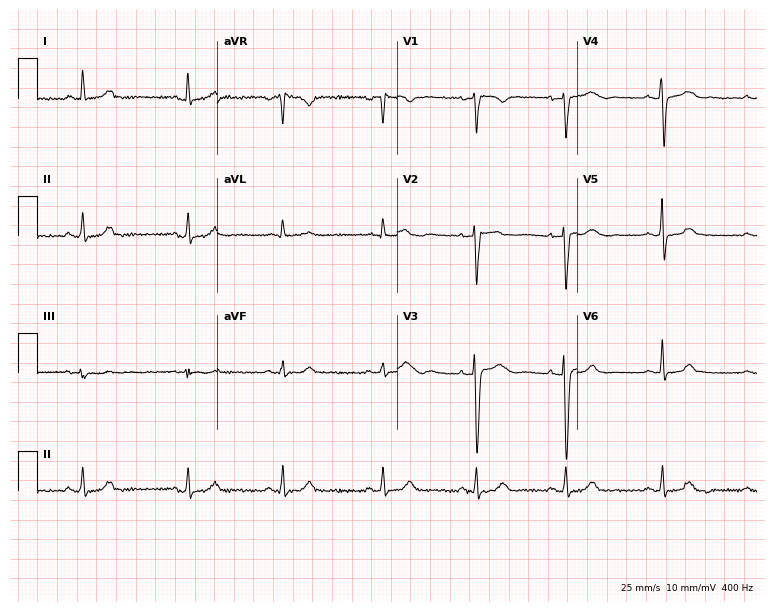
12-lead ECG from a 42-year-old female. Screened for six findings — first-degree AV block, right bundle branch block (RBBB), left bundle branch block (LBBB), sinus bradycardia, atrial fibrillation (AF), sinus tachycardia — none is recorded.